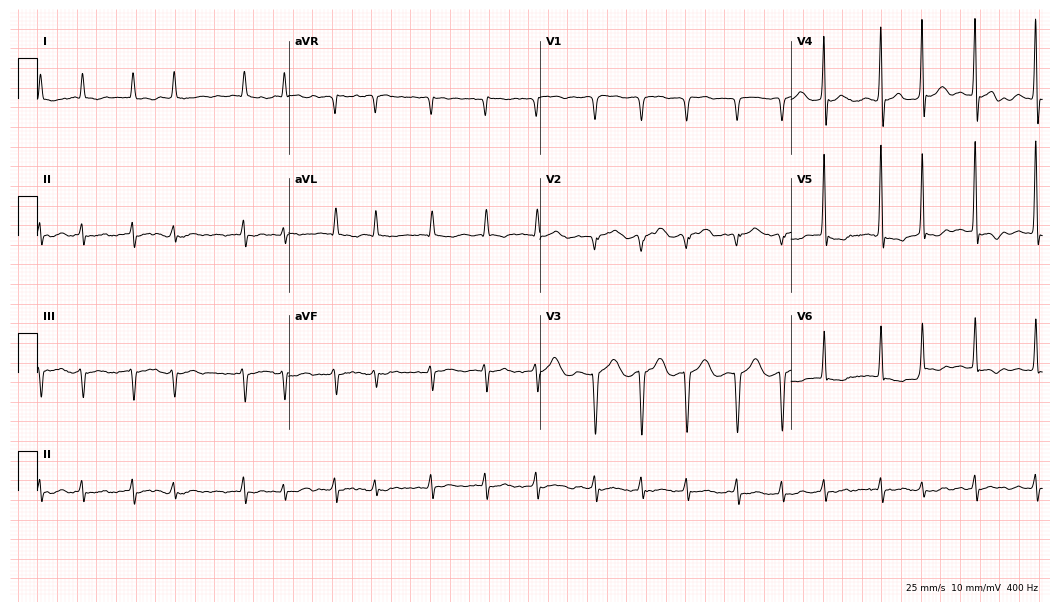
12-lead ECG from a 77-year-old female. Findings include atrial fibrillation.